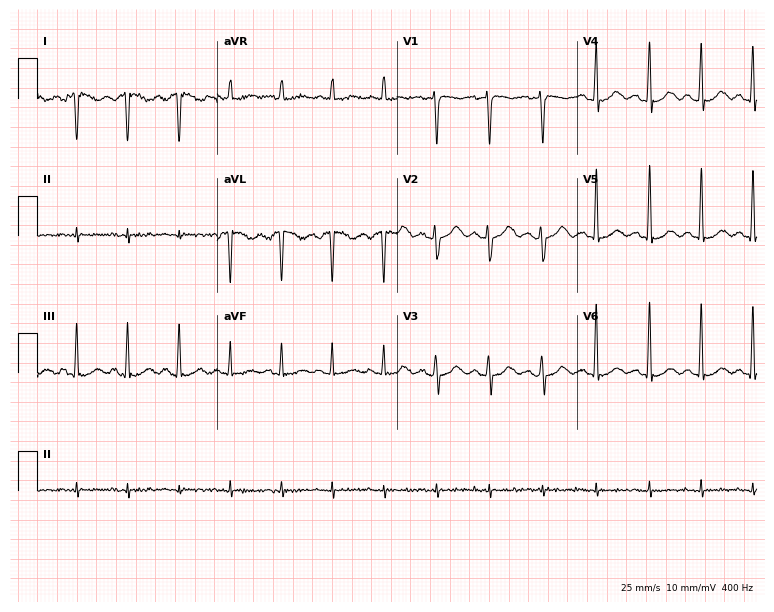
Electrocardiogram, a female, 36 years old. Of the six screened findings (first-degree AV block, right bundle branch block (RBBB), left bundle branch block (LBBB), sinus bradycardia, atrial fibrillation (AF), sinus tachycardia), none is recorded. Only these six findings were labelled.